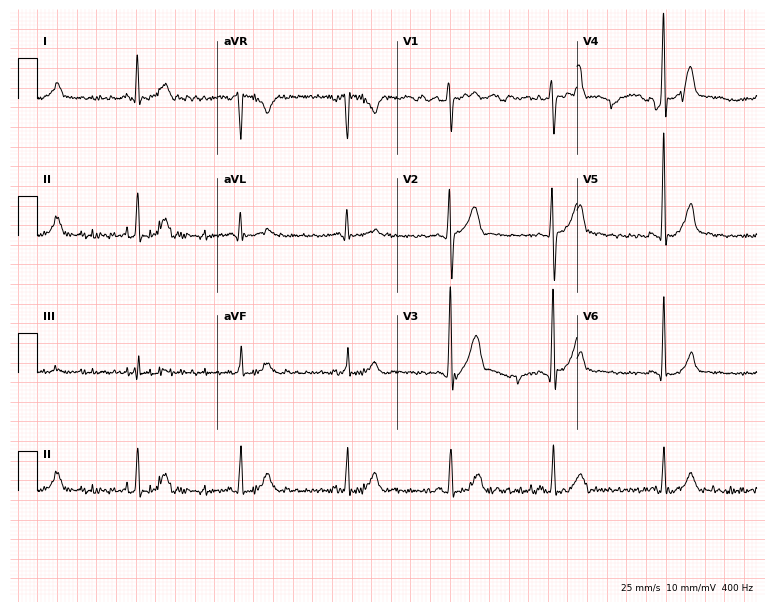
12-lead ECG from a 27-year-old man. No first-degree AV block, right bundle branch block, left bundle branch block, sinus bradycardia, atrial fibrillation or sinus tachycardia recorded for this tracing.